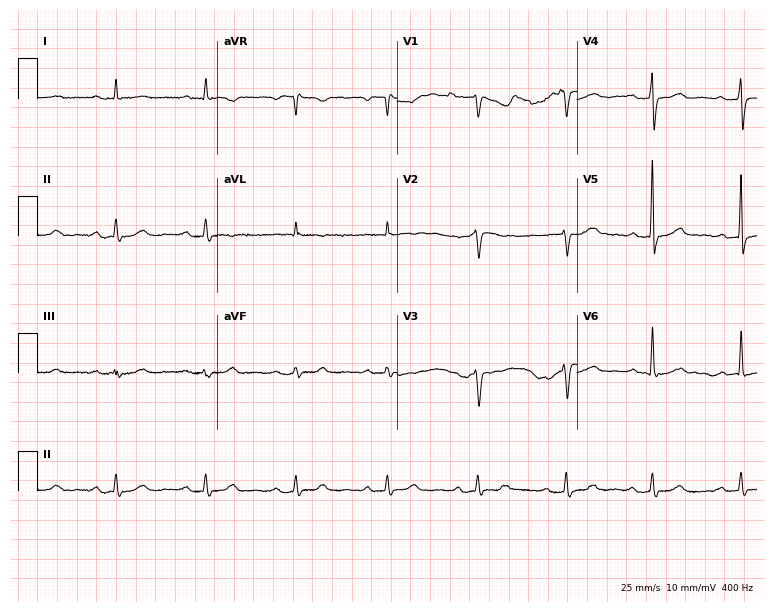
12-lead ECG from a female, 80 years old (7.3-second recording at 400 Hz). Recorded interpretation: within normal limits.